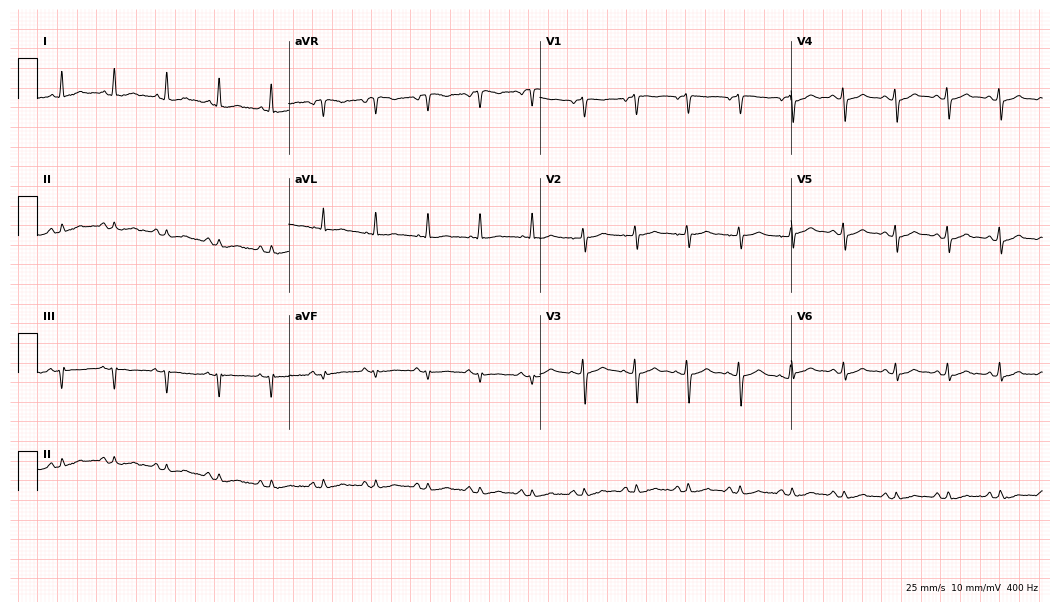
Electrocardiogram, a female patient, 59 years old. Of the six screened findings (first-degree AV block, right bundle branch block (RBBB), left bundle branch block (LBBB), sinus bradycardia, atrial fibrillation (AF), sinus tachycardia), none is recorded. Findings outside these six are not listed.